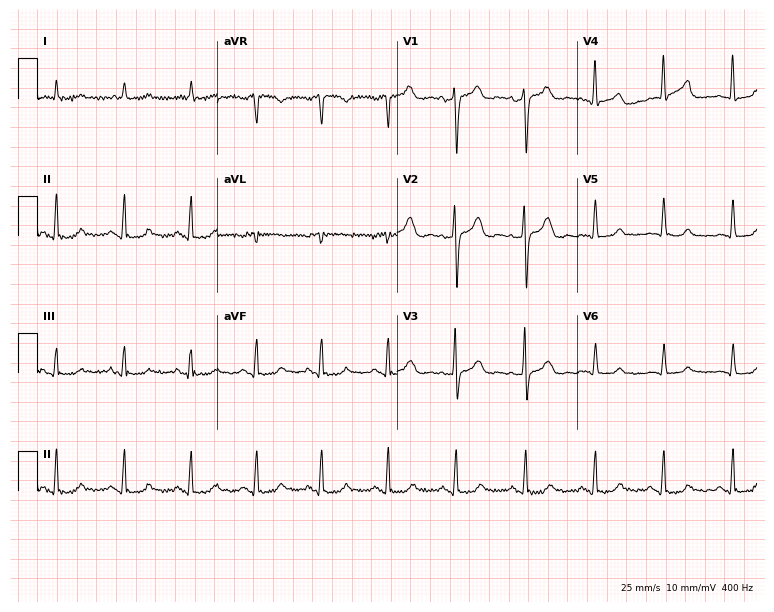
12-lead ECG from a male patient, 63 years old (7.3-second recording at 400 Hz). No first-degree AV block, right bundle branch block, left bundle branch block, sinus bradycardia, atrial fibrillation or sinus tachycardia recorded for this tracing.